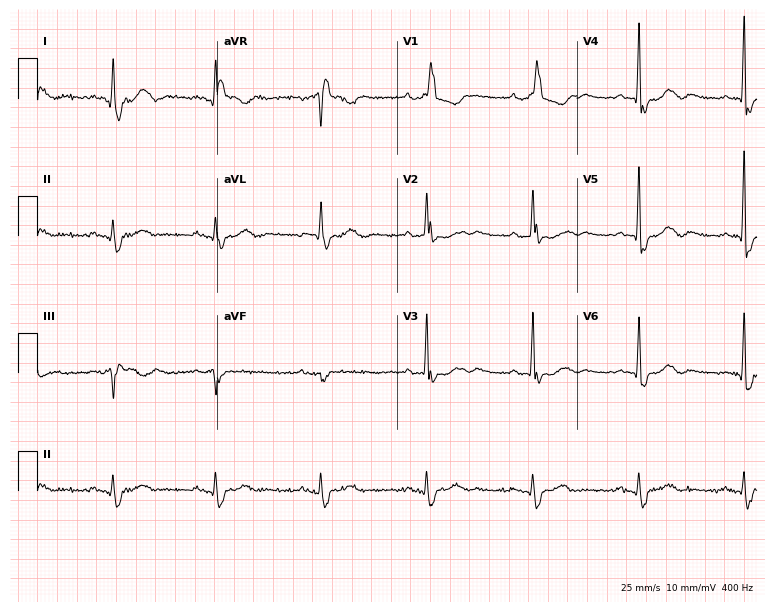
Standard 12-lead ECG recorded from a female, 77 years old (7.3-second recording at 400 Hz). The tracing shows right bundle branch block (RBBB).